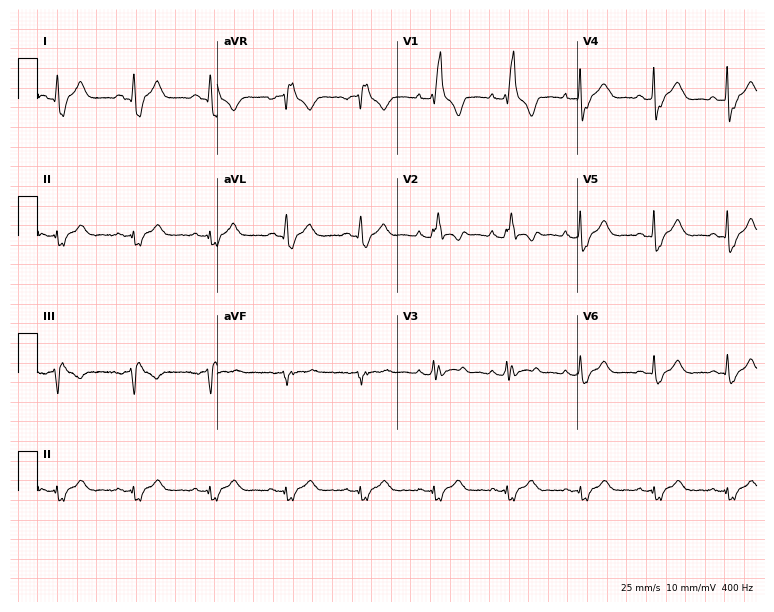
12-lead ECG from a 33-year-old male patient (7.3-second recording at 400 Hz). Shows right bundle branch block.